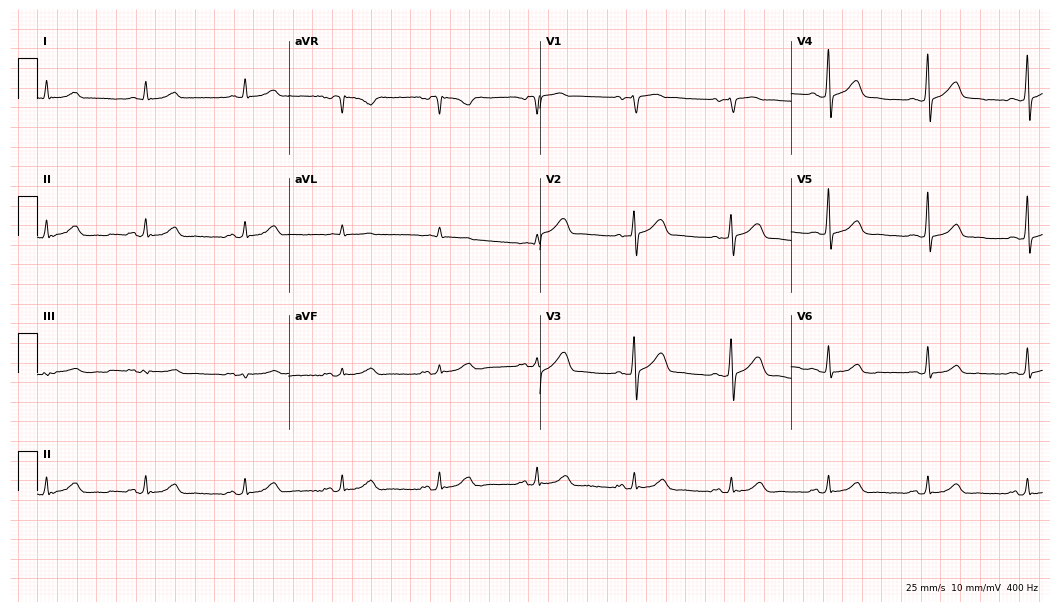
12-lead ECG (10.2-second recording at 400 Hz) from a man, 63 years old. Labelled as a normal ECG.